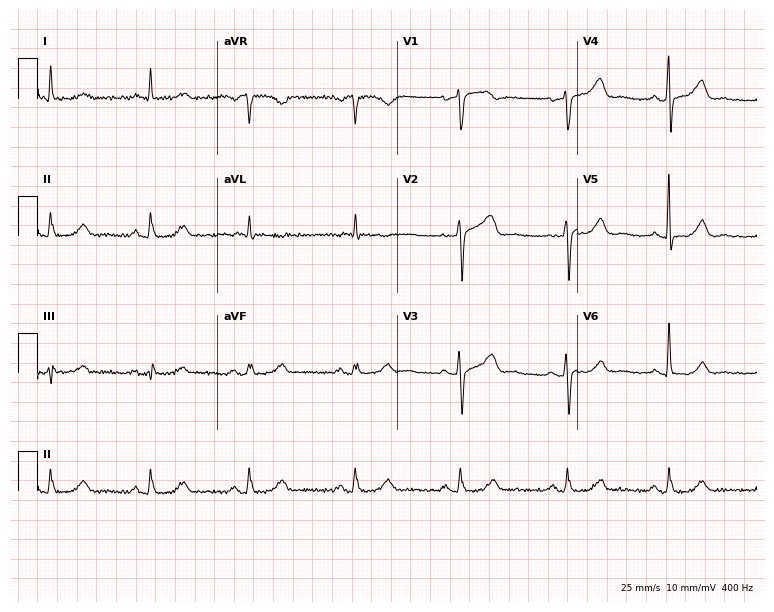
ECG (7.3-second recording at 400 Hz) — a female patient, 70 years old. Labelled as a normal ECG.